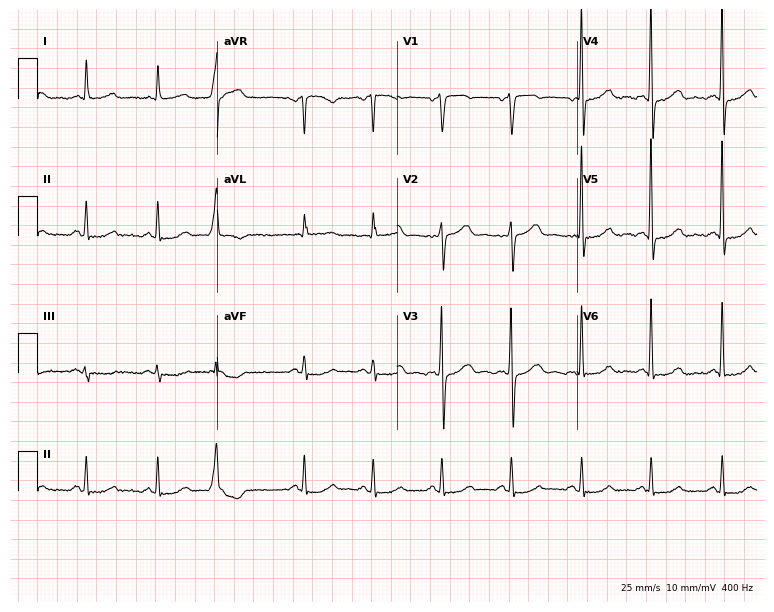
Resting 12-lead electrocardiogram (7.3-second recording at 400 Hz). Patient: a 62-year-old woman. None of these six findings is recorded: first-degree AV block, right bundle branch block, left bundle branch block, sinus bradycardia, atrial fibrillation, sinus tachycardia. Other findings, if any, are not listed.